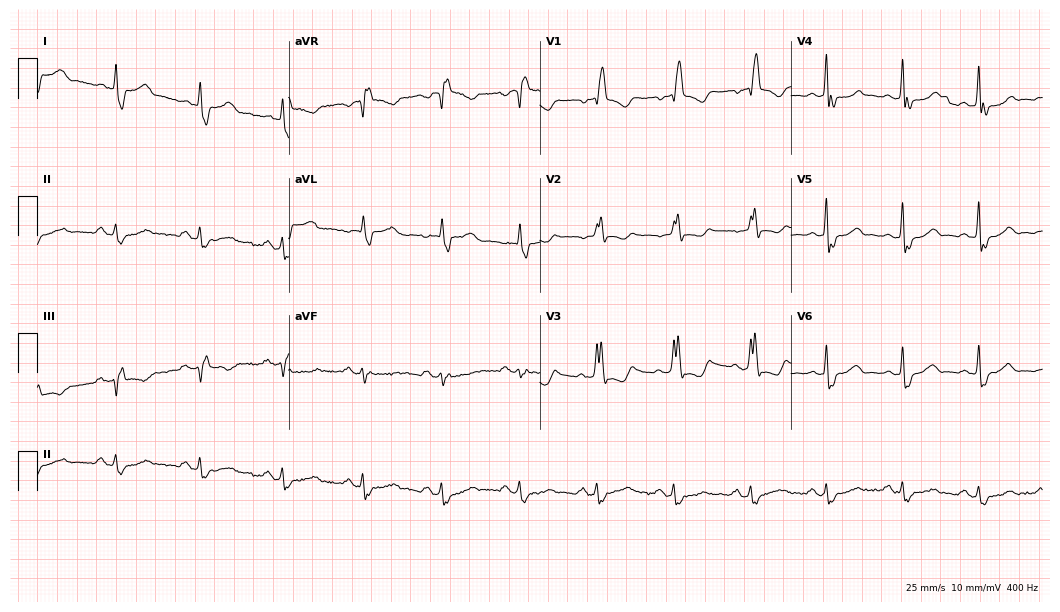
12-lead ECG (10.2-second recording at 400 Hz) from a 75-year-old male. Findings include right bundle branch block (RBBB).